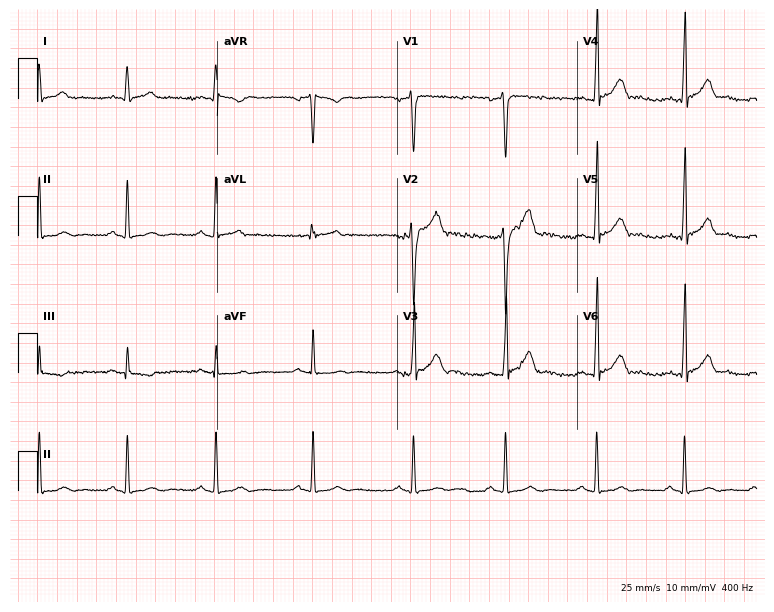
Resting 12-lead electrocardiogram (7.3-second recording at 400 Hz). Patient: a 25-year-old man. None of these six findings is recorded: first-degree AV block, right bundle branch block, left bundle branch block, sinus bradycardia, atrial fibrillation, sinus tachycardia. Findings outside these six are not listed.